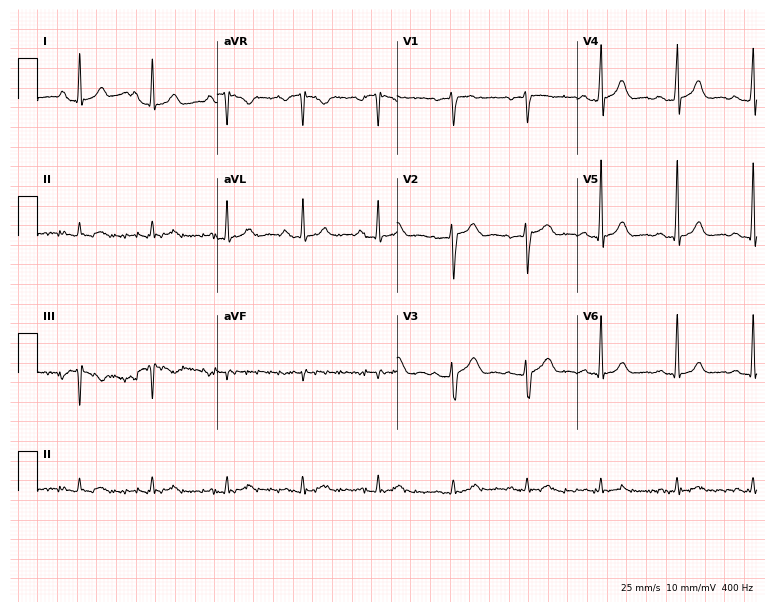
Resting 12-lead electrocardiogram. Patient: a 48-year-old woman. Read as a normal ECG.